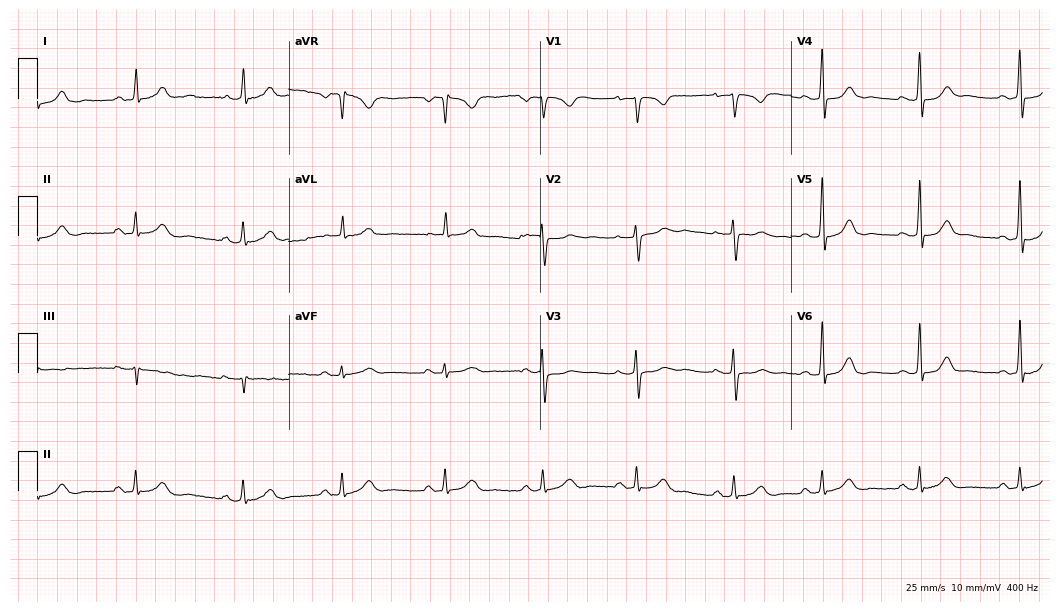
Standard 12-lead ECG recorded from a 33-year-old woman. Read as a normal ECG.